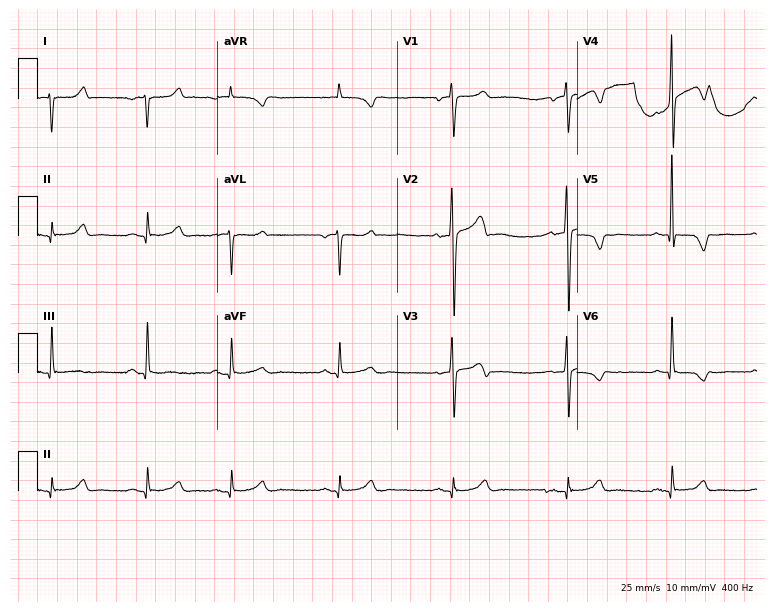
Standard 12-lead ECG recorded from a woman, 63 years old. None of these six findings is recorded: first-degree AV block, right bundle branch block (RBBB), left bundle branch block (LBBB), sinus bradycardia, atrial fibrillation (AF), sinus tachycardia. Only these six findings were labelled.